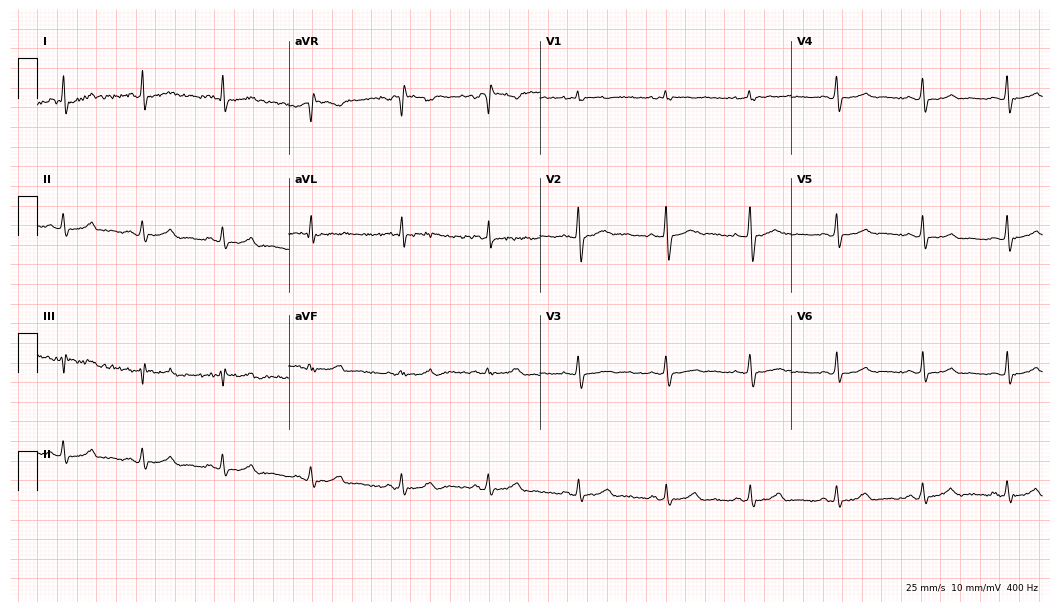
ECG (10.2-second recording at 400 Hz) — a woman, 35 years old. Labelled as a normal ECG.